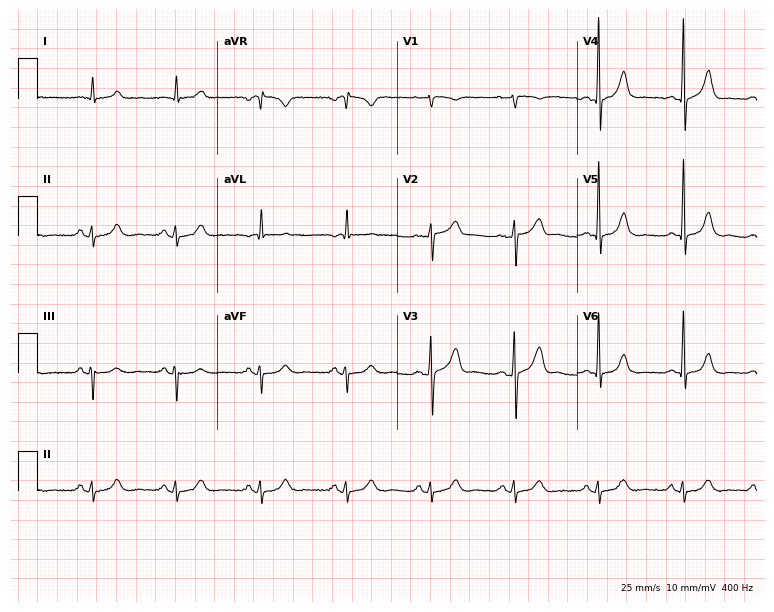
12-lead ECG from a 60-year-old male patient. Recorded interpretation: within normal limits.